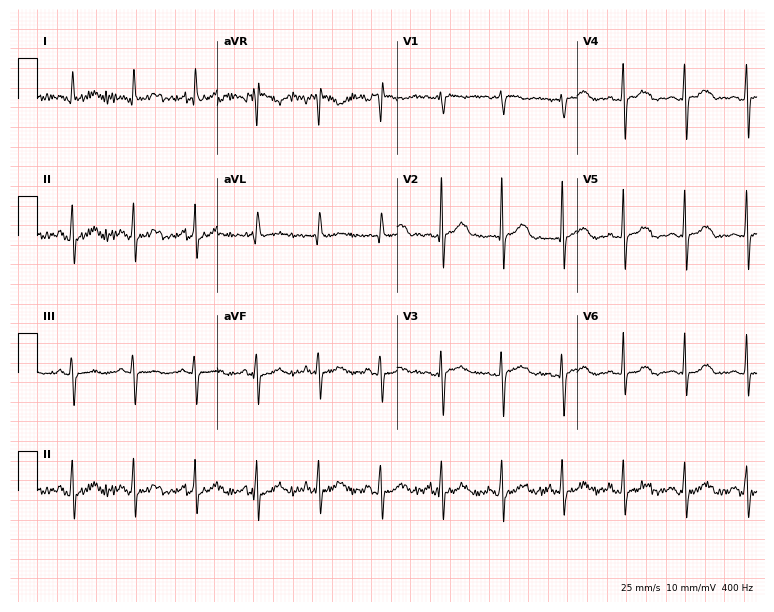
Standard 12-lead ECG recorded from a 39-year-old female patient. Read as a normal ECG.